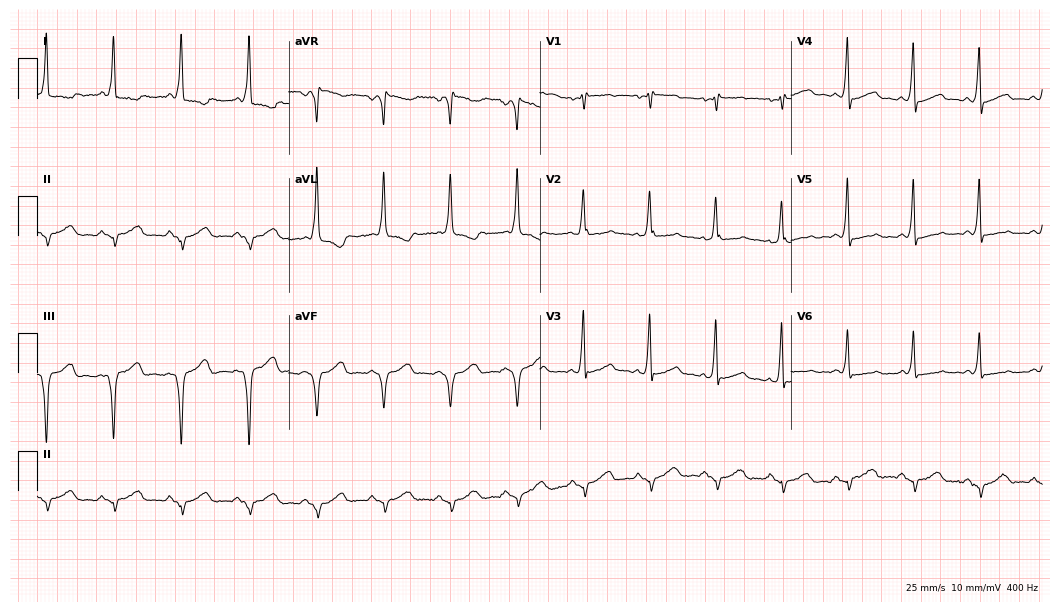
ECG — a female patient, 45 years old. Labelled as a normal ECG.